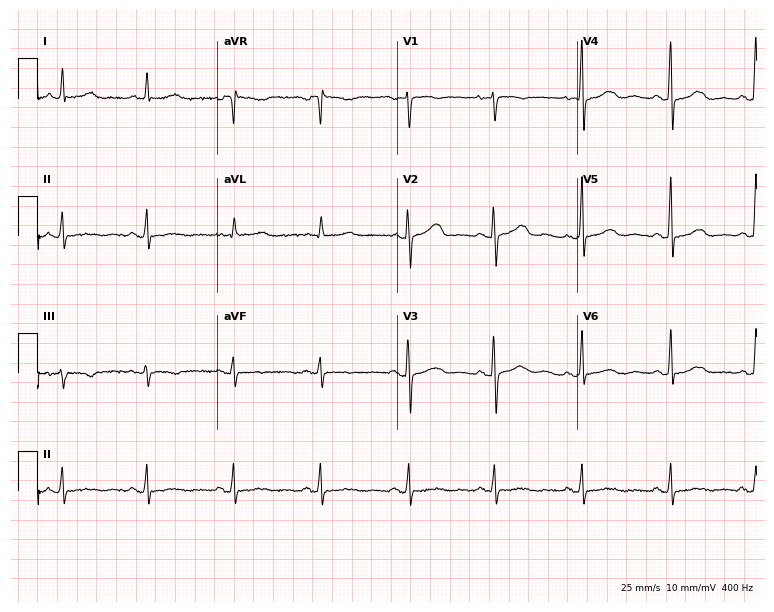
12-lead ECG (7.3-second recording at 400 Hz) from a female, 44 years old. Screened for six findings — first-degree AV block, right bundle branch block, left bundle branch block, sinus bradycardia, atrial fibrillation, sinus tachycardia — none is recorded.